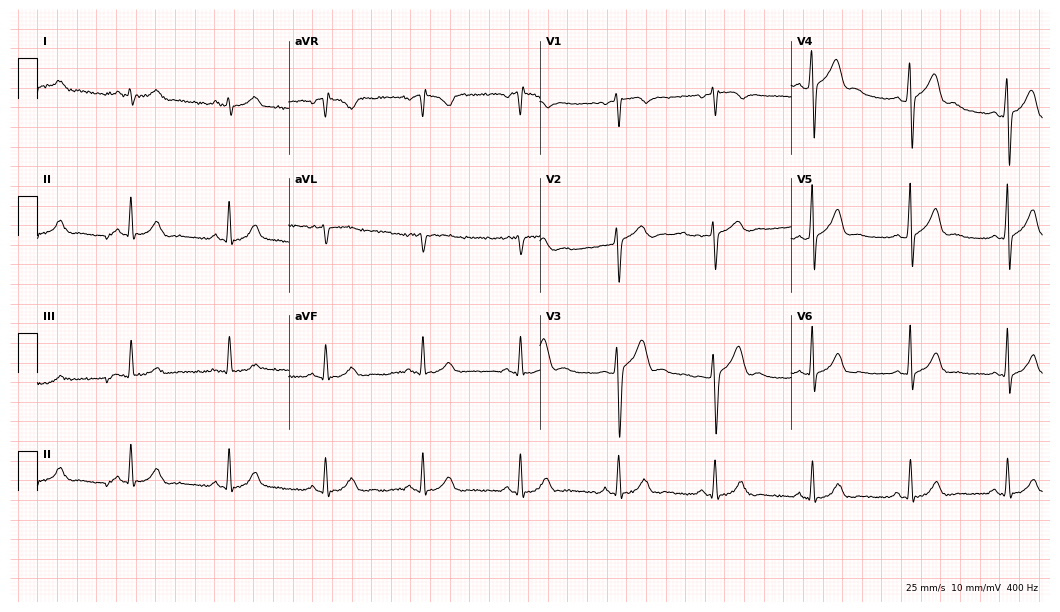
ECG — a male, 53 years old. Screened for six findings — first-degree AV block, right bundle branch block, left bundle branch block, sinus bradycardia, atrial fibrillation, sinus tachycardia — none is recorded.